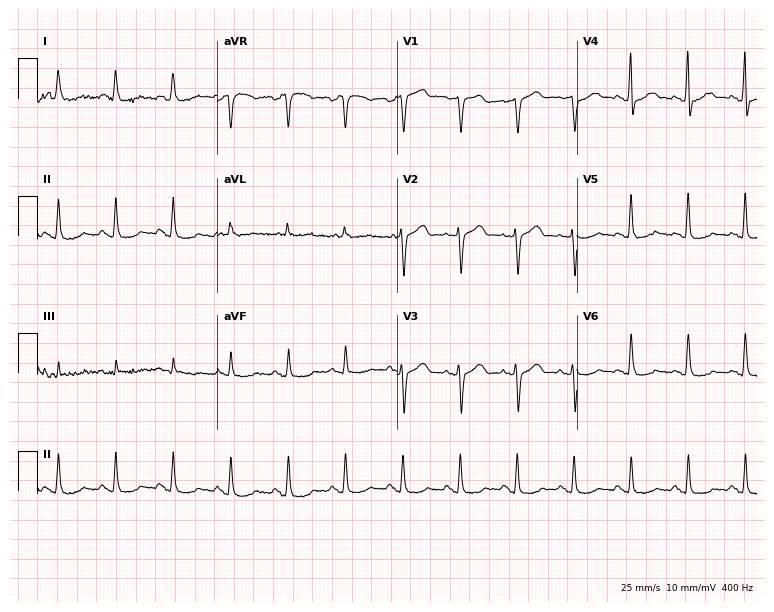
12-lead ECG from a female patient, 54 years old. Shows sinus tachycardia (a sinus rate of 100 beats per minute or more).